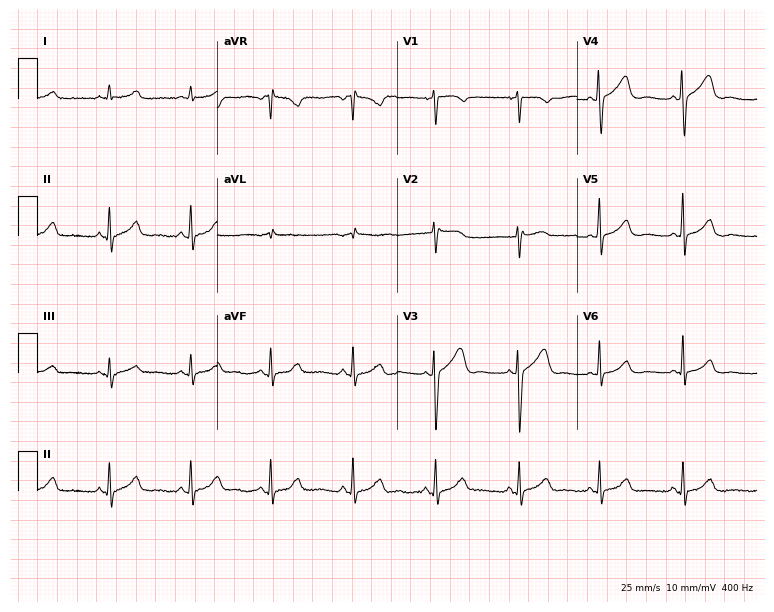
12-lead ECG from a 75-year-old woman (7.3-second recording at 400 Hz). Recorded interpretation: within normal limits.